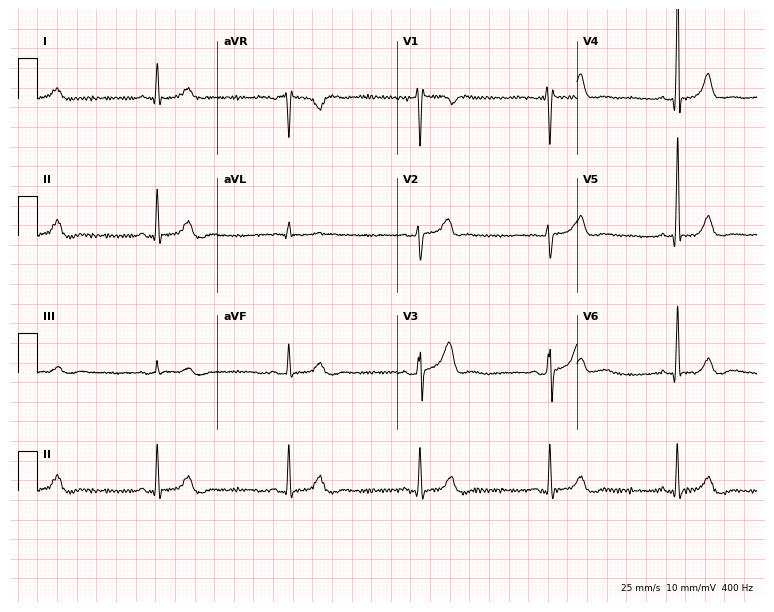
12-lead ECG from a 58-year-old man (7.3-second recording at 400 Hz). Shows sinus bradycardia (a sinus rate of 50 beats per minute or less).